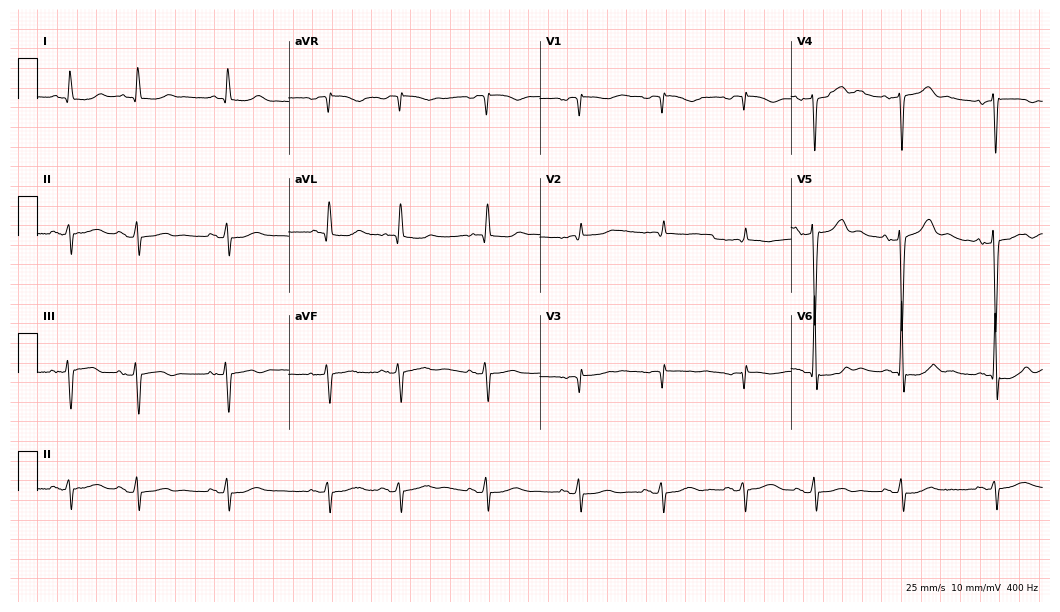
Standard 12-lead ECG recorded from an 82-year-old female patient (10.2-second recording at 400 Hz). None of these six findings is recorded: first-degree AV block, right bundle branch block, left bundle branch block, sinus bradycardia, atrial fibrillation, sinus tachycardia. Only these six findings were labelled.